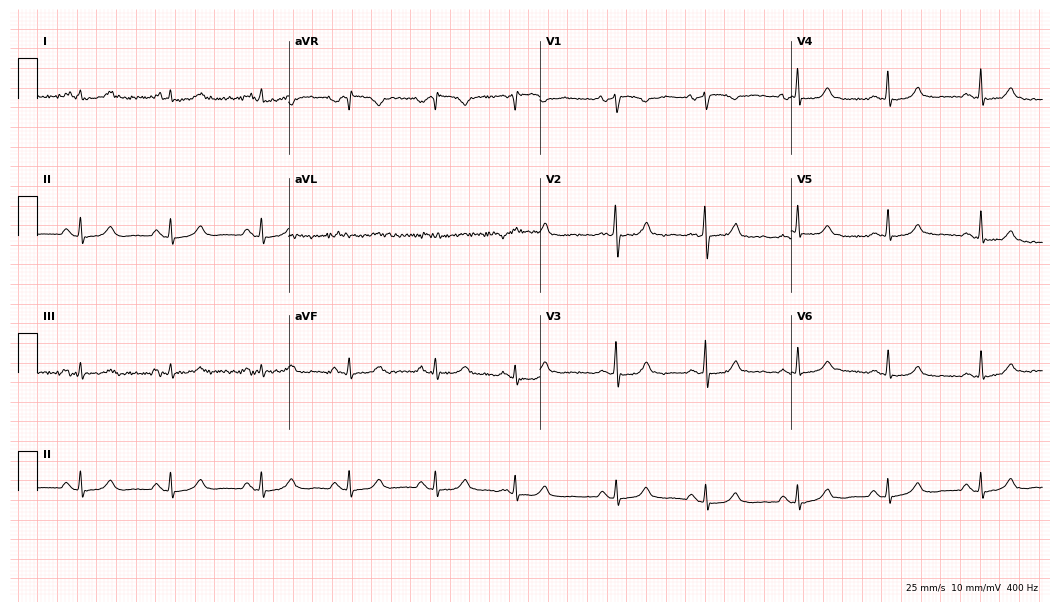
ECG (10.2-second recording at 400 Hz) — a woman, 31 years old. Screened for six findings — first-degree AV block, right bundle branch block, left bundle branch block, sinus bradycardia, atrial fibrillation, sinus tachycardia — none is recorded.